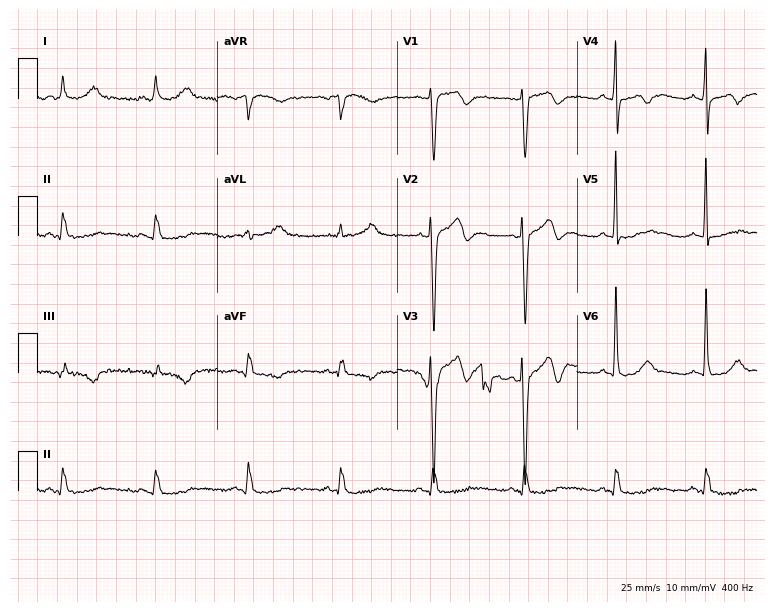
Resting 12-lead electrocardiogram. Patient: a 70-year-old man. None of these six findings is recorded: first-degree AV block, right bundle branch block, left bundle branch block, sinus bradycardia, atrial fibrillation, sinus tachycardia. Other findings, if any, are not listed.